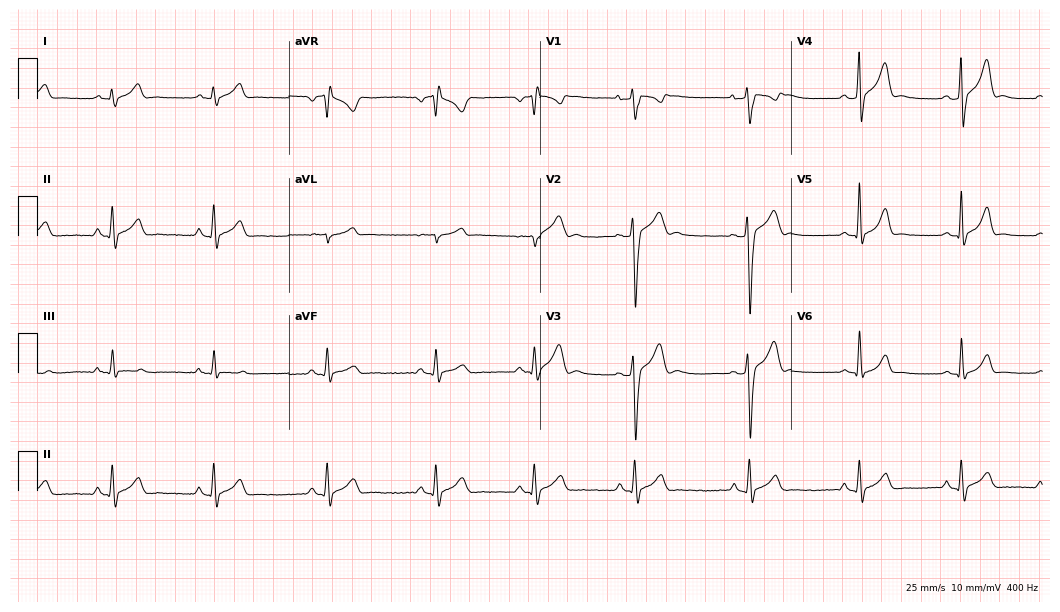
ECG (10.2-second recording at 400 Hz) — a 19-year-old man. Screened for six findings — first-degree AV block, right bundle branch block, left bundle branch block, sinus bradycardia, atrial fibrillation, sinus tachycardia — none is recorded.